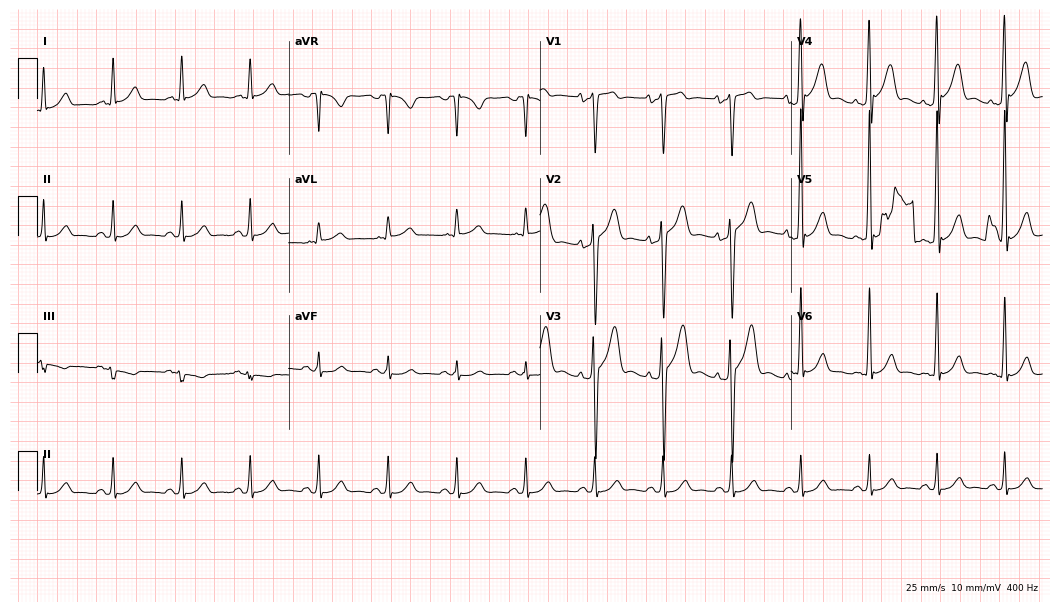
12-lead ECG from a 49-year-old man (10.2-second recording at 400 Hz). No first-degree AV block, right bundle branch block, left bundle branch block, sinus bradycardia, atrial fibrillation or sinus tachycardia recorded for this tracing.